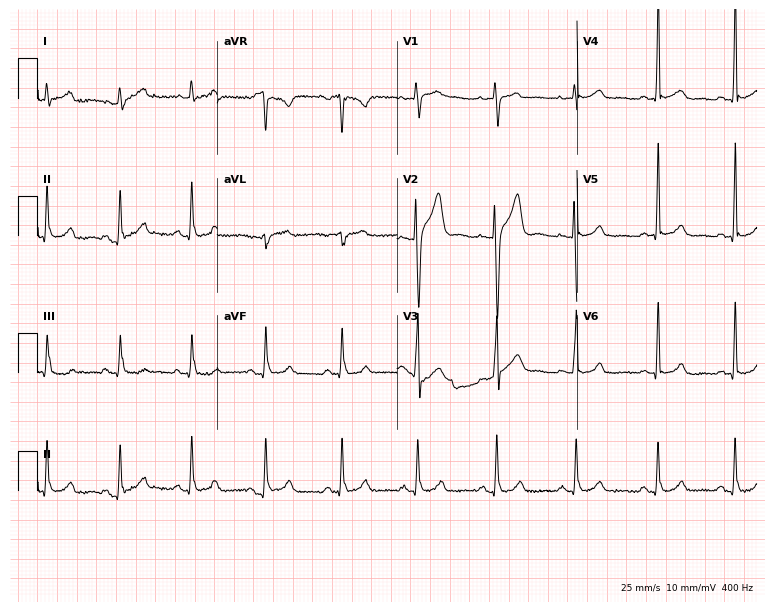
ECG — a 24-year-old male patient. Screened for six findings — first-degree AV block, right bundle branch block, left bundle branch block, sinus bradycardia, atrial fibrillation, sinus tachycardia — none is recorded.